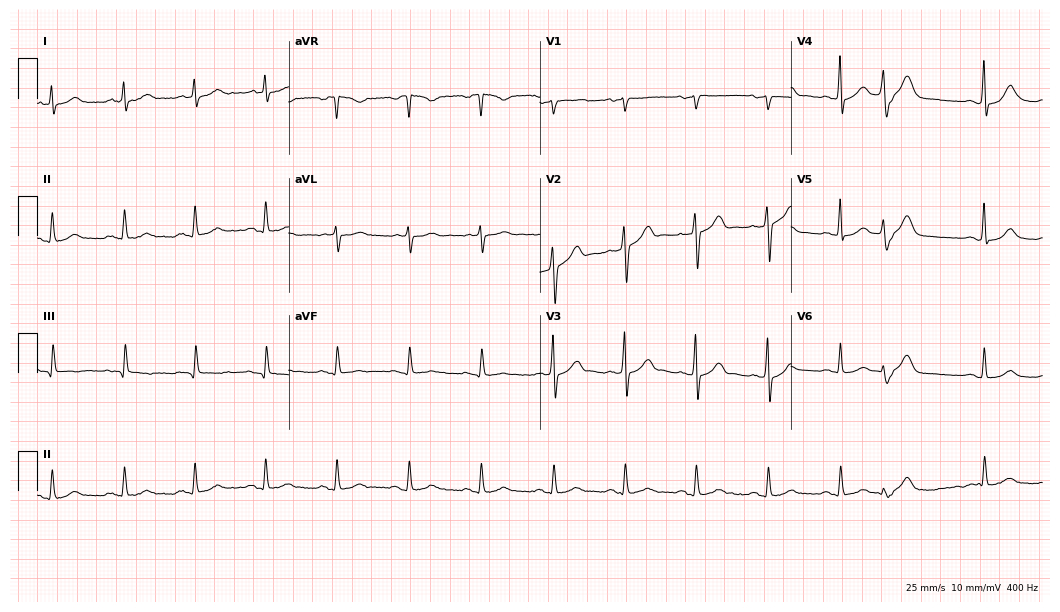
Electrocardiogram, a male, 70 years old. Overall reading on record: normal ECG.